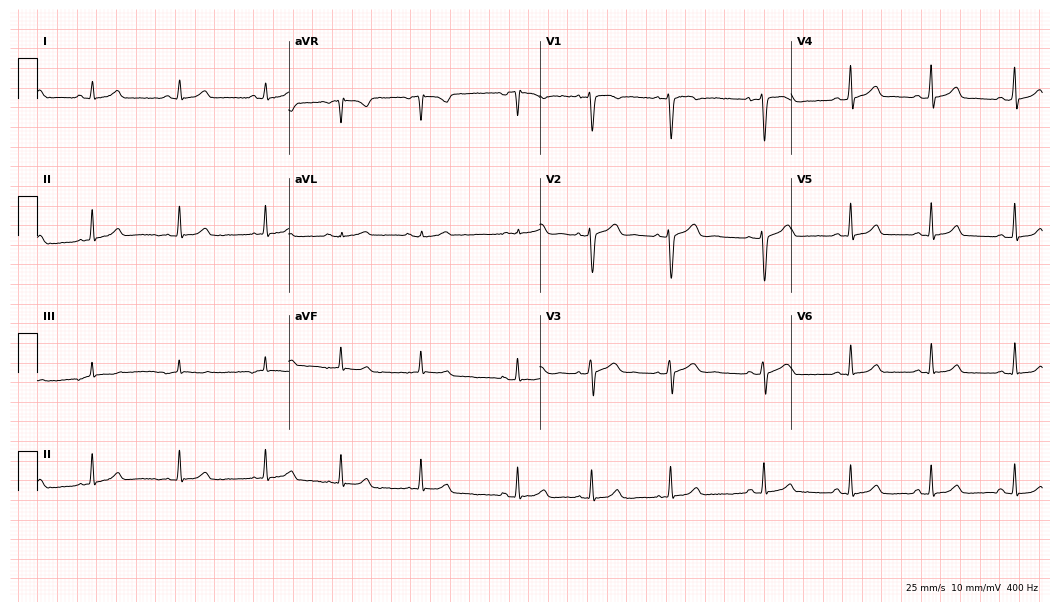
12-lead ECG from a 23-year-old woman. Screened for six findings — first-degree AV block, right bundle branch block, left bundle branch block, sinus bradycardia, atrial fibrillation, sinus tachycardia — none is recorded.